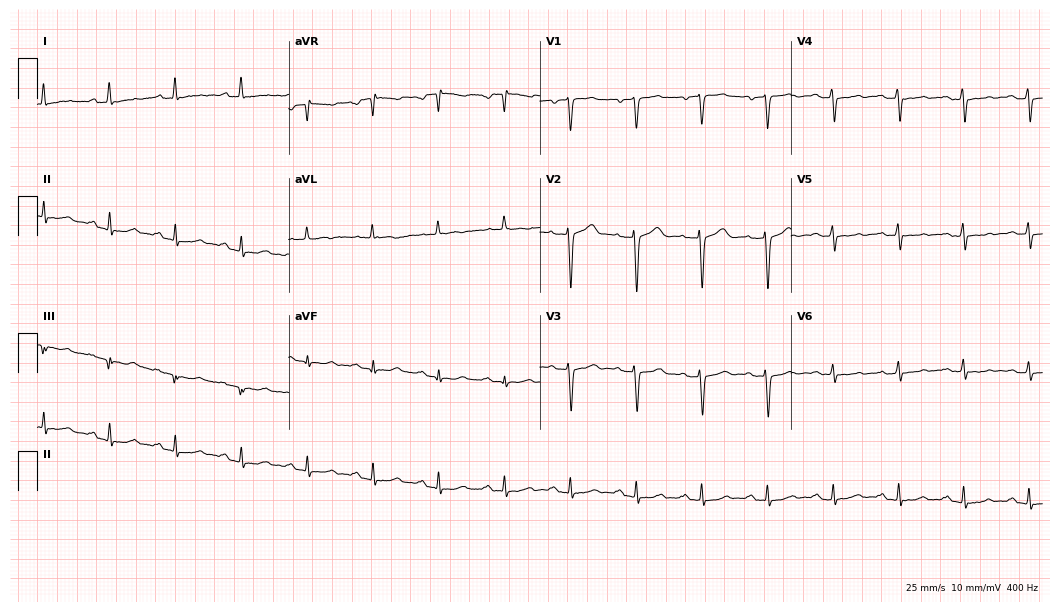
Resting 12-lead electrocardiogram (10.2-second recording at 400 Hz). Patient: a 62-year-old male. The tracing shows first-degree AV block.